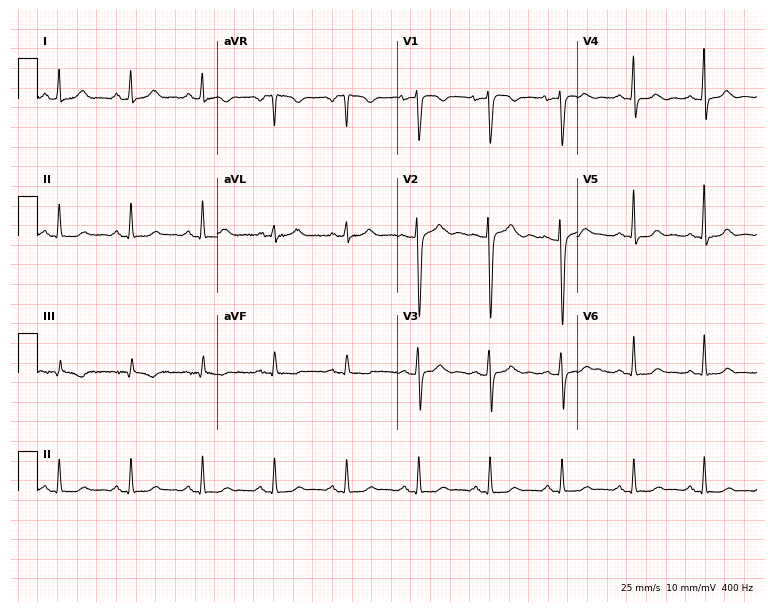
Resting 12-lead electrocardiogram. Patient: a female, 35 years old. Read as a normal ECG.